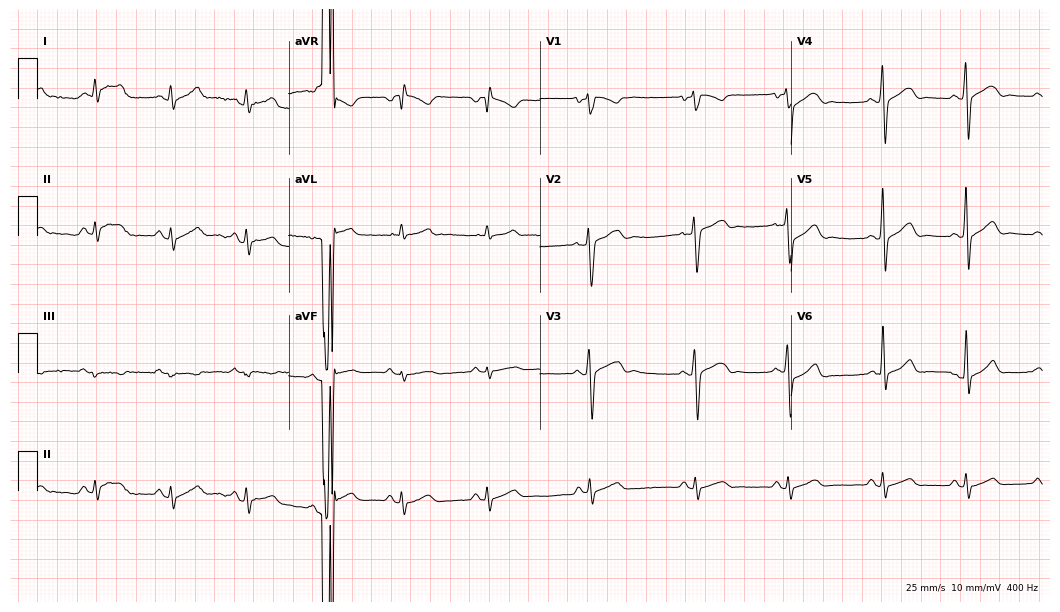
Resting 12-lead electrocardiogram. Patient: a 30-year-old man. Read as a normal ECG.